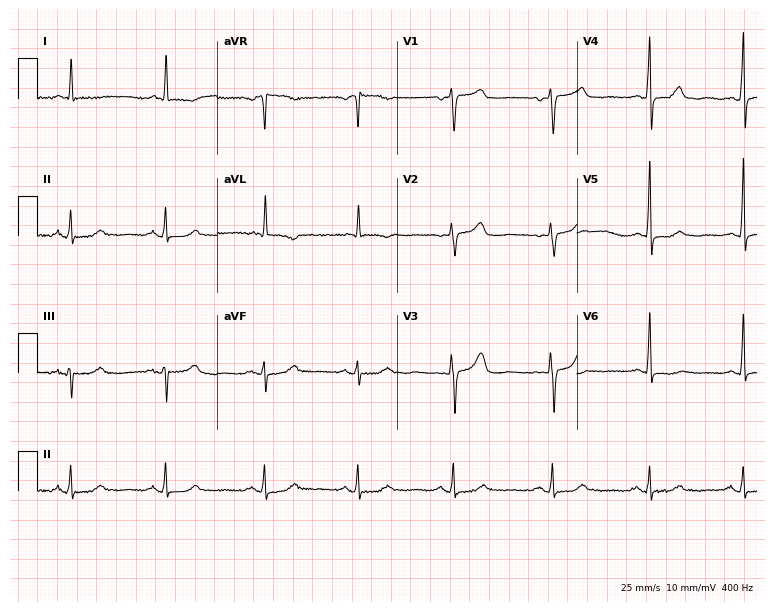
12-lead ECG from a woman, 76 years old. No first-degree AV block, right bundle branch block, left bundle branch block, sinus bradycardia, atrial fibrillation or sinus tachycardia recorded for this tracing.